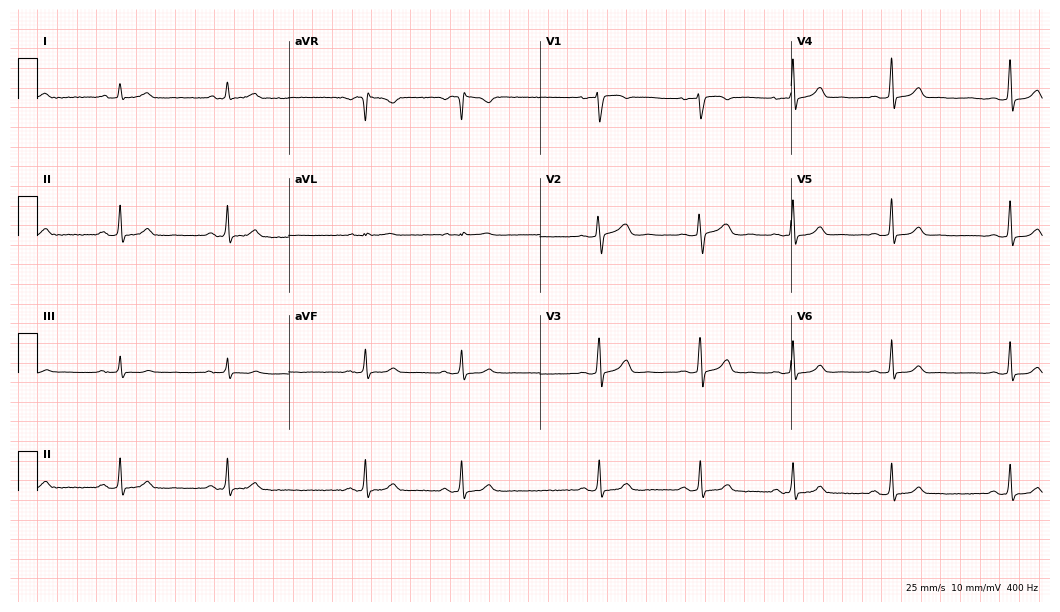
Resting 12-lead electrocardiogram. Patient: a 35-year-old female. None of these six findings is recorded: first-degree AV block, right bundle branch block (RBBB), left bundle branch block (LBBB), sinus bradycardia, atrial fibrillation (AF), sinus tachycardia. Other findings, if any, are not listed.